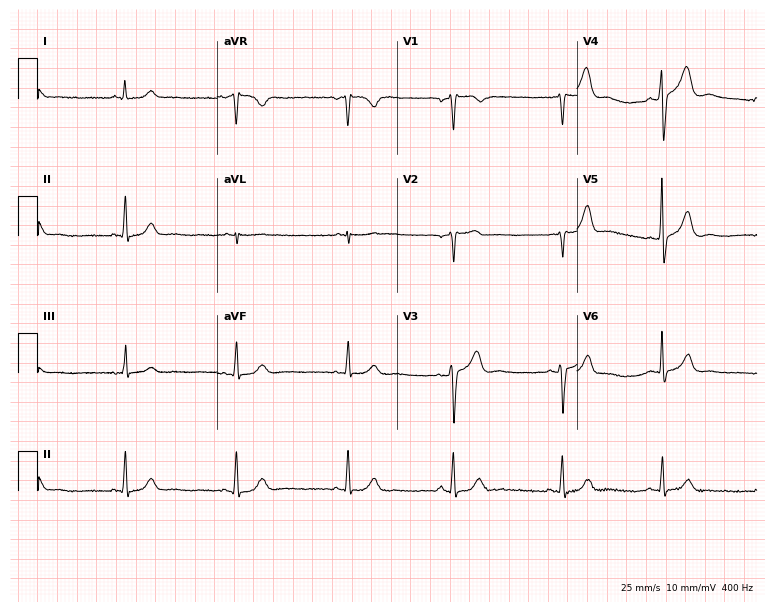
12-lead ECG from a 61-year-old man. Screened for six findings — first-degree AV block, right bundle branch block, left bundle branch block, sinus bradycardia, atrial fibrillation, sinus tachycardia — none is recorded. Findings outside these six are not listed.